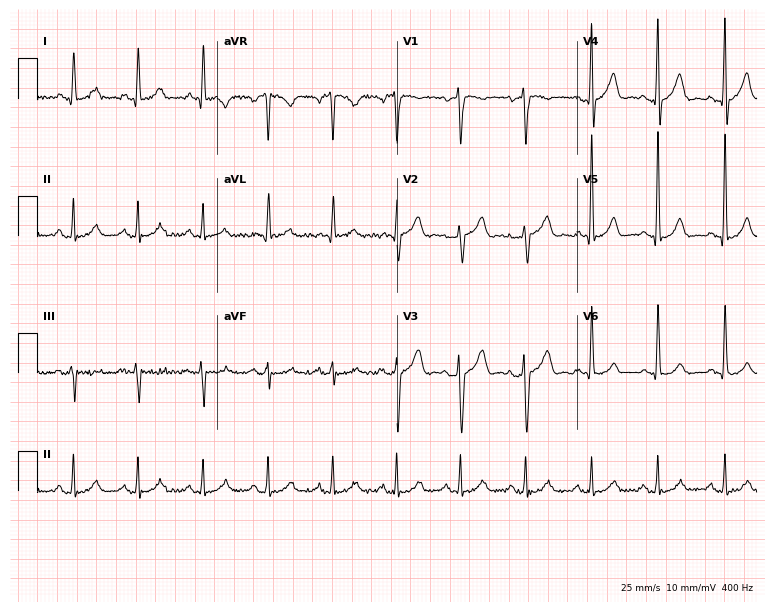
Standard 12-lead ECG recorded from a 72-year-old male patient. None of these six findings is recorded: first-degree AV block, right bundle branch block (RBBB), left bundle branch block (LBBB), sinus bradycardia, atrial fibrillation (AF), sinus tachycardia.